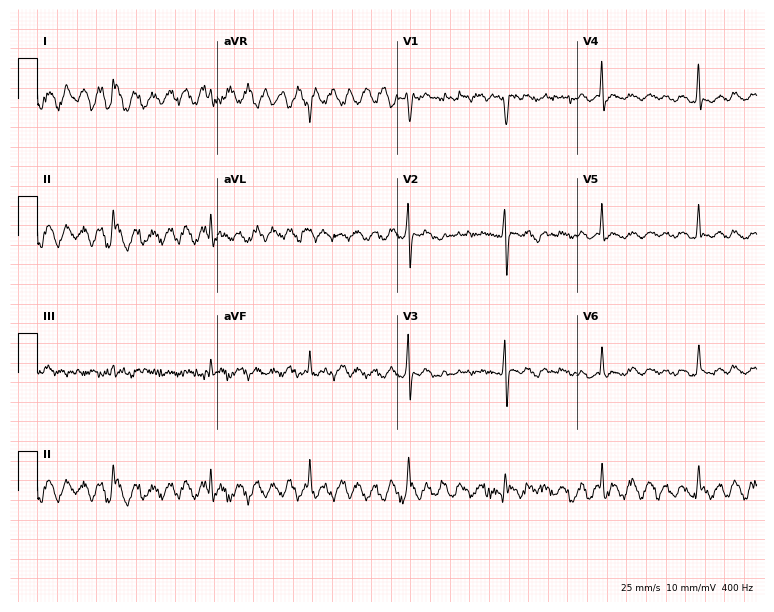
Electrocardiogram (7.3-second recording at 400 Hz), a 78-year-old female. Of the six screened findings (first-degree AV block, right bundle branch block, left bundle branch block, sinus bradycardia, atrial fibrillation, sinus tachycardia), none is recorded. Only these six findings were labelled.